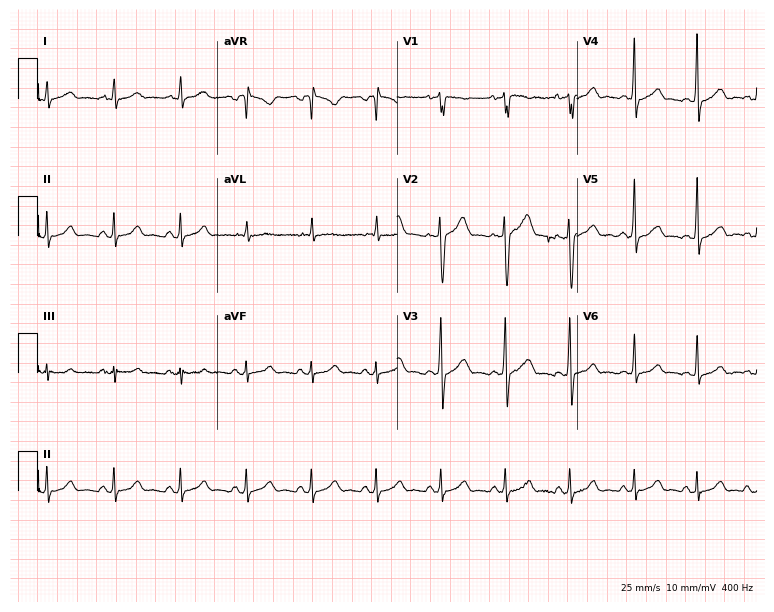
12-lead ECG from a 33-year-old male. Recorded interpretation: within normal limits.